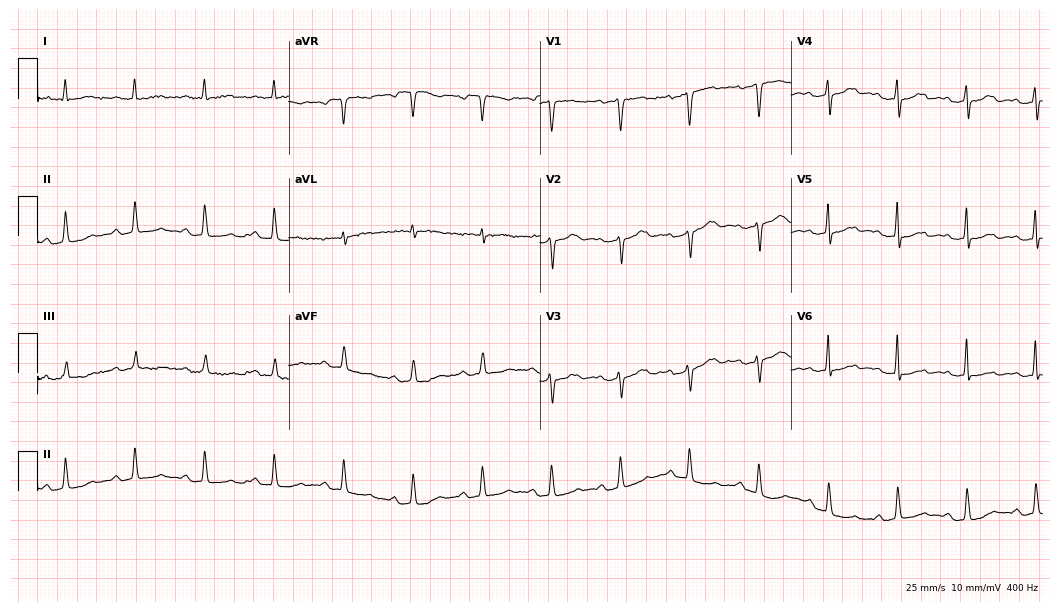
Electrocardiogram (10.2-second recording at 400 Hz), a 66-year-old female patient. Of the six screened findings (first-degree AV block, right bundle branch block (RBBB), left bundle branch block (LBBB), sinus bradycardia, atrial fibrillation (AF), sinus tachycardia), none is recorded. Findings outside these six are not listed.